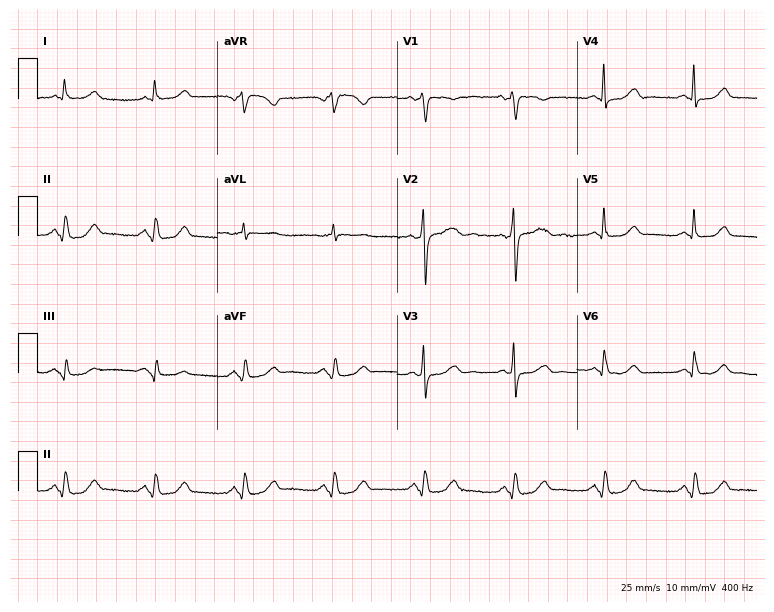
12-lead ECG from a woman, 58 years old. Labelled as a normal ECG.